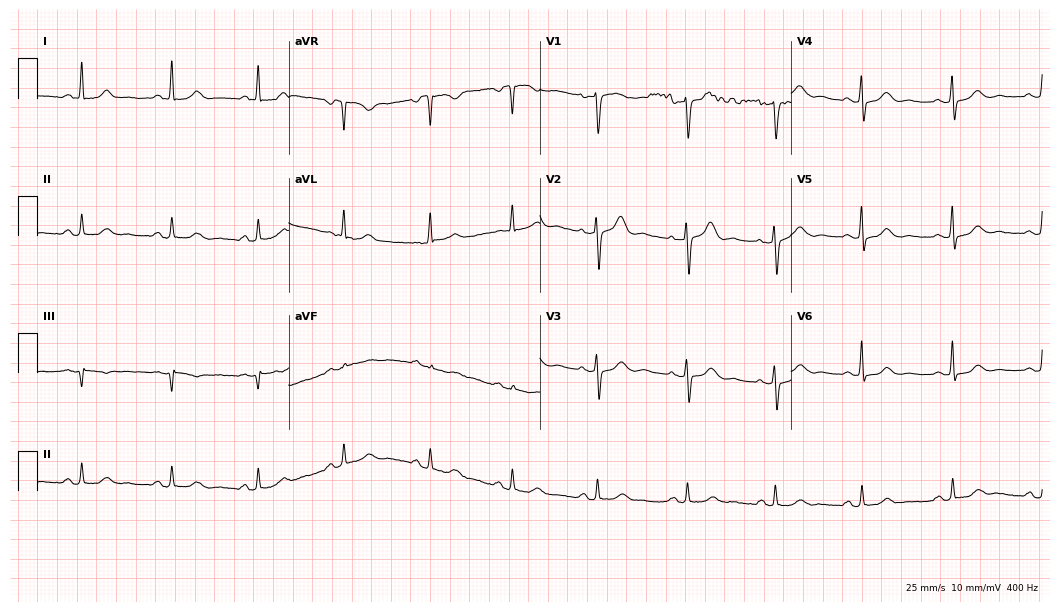
Resting 12-lead electrocardiogram. Patient: a female, 63 years old. Read as a normal ECG.